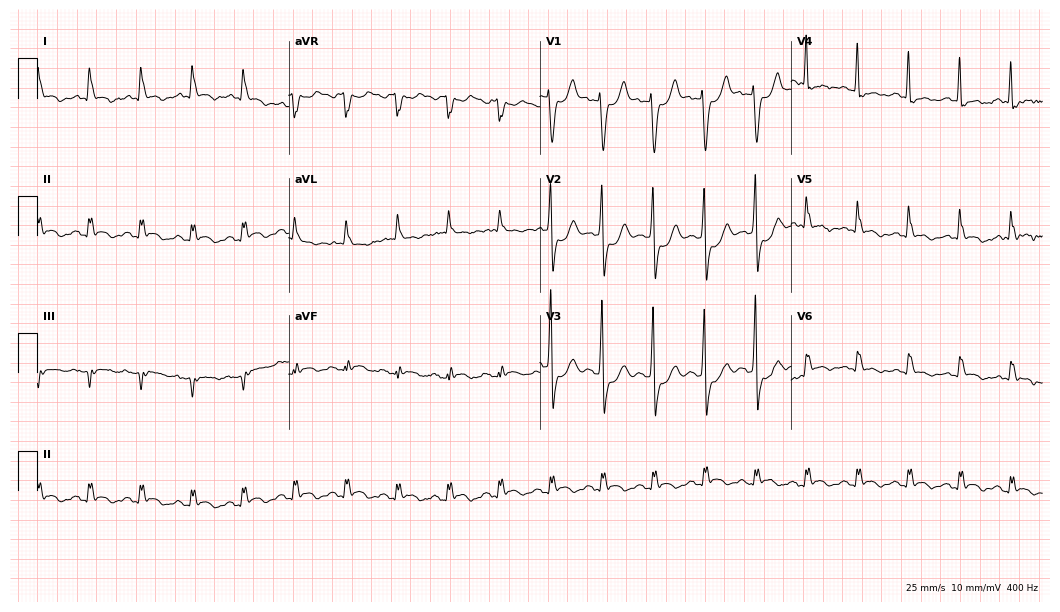
ECG — a 75-year-old male. Findings include sinus tachycardia (a sinus rate of 100 beats per minute or more).